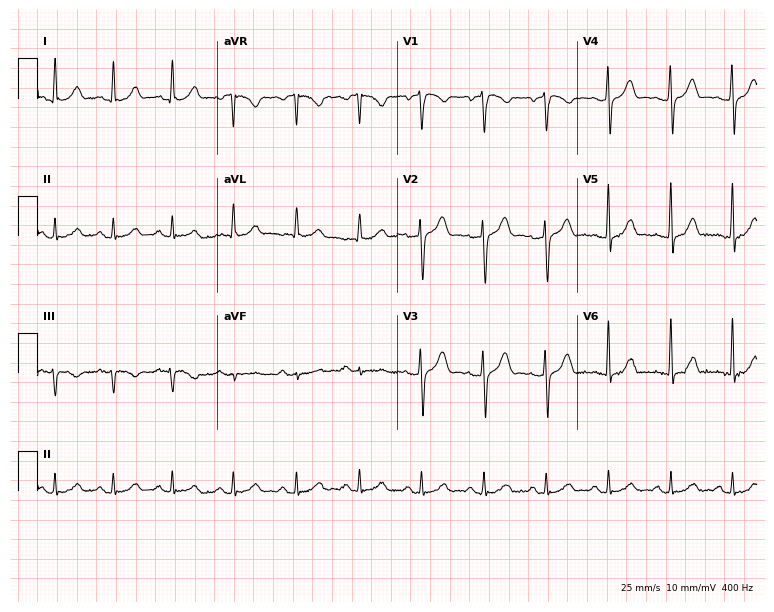
Resting 12-lead electrocardiogram (7.3-second recording at 400 Hz). Patient: a 33-year-old man. None of these six findings is recorded: first-degree AV block, right bundle branch block, left bundle branch block, sinus bradycardia, atrial fibrillation, sinus tachycardia.